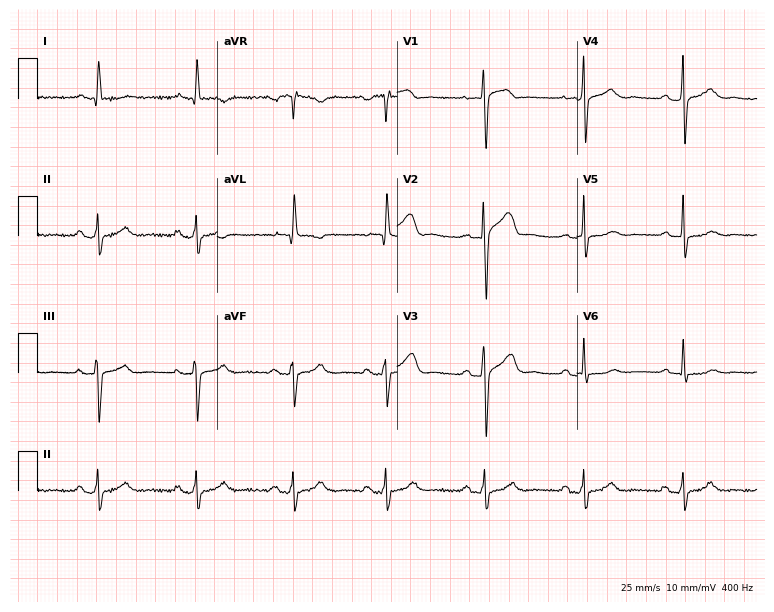
12-lead ECG from a 46-year-old female patient (7.3-second recording at 400 Hz). Shows first-degree AV block.